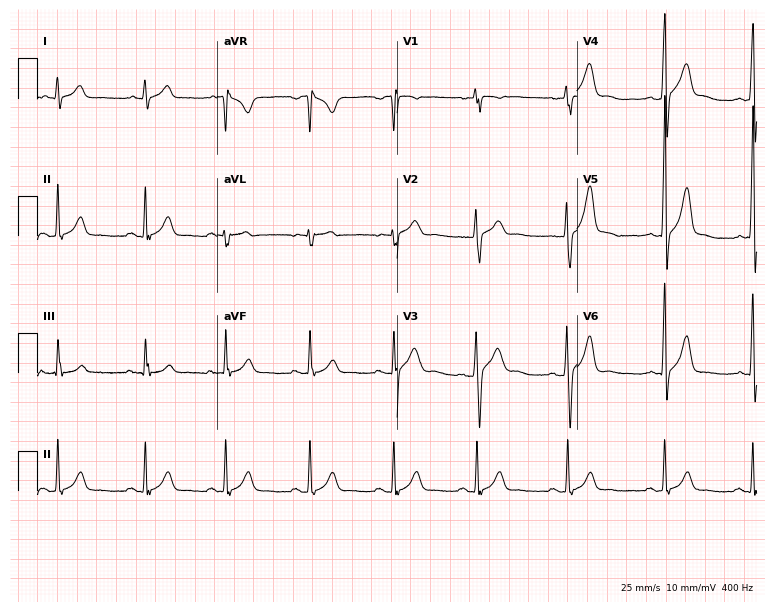
ECG — a 19-year-old man. Labelled as a normal ECG.